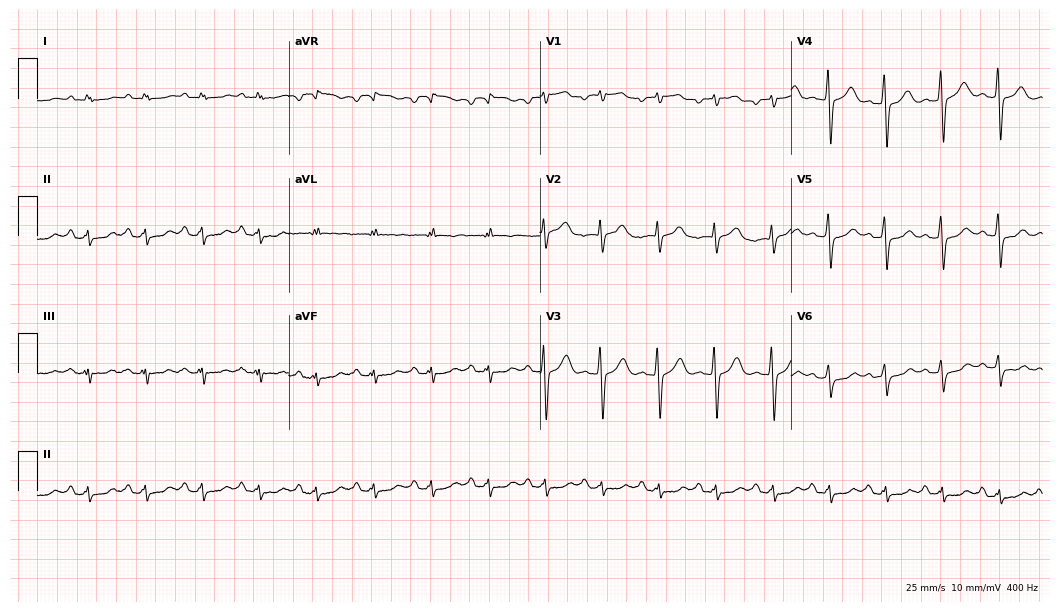
Electrocardiogram, a 50-year-old male. Of the six screened findings (first-degree AV block, right bundle branch block (RBBB), left bundle branch block (LBBB), sinus bradycardia, atrial fibrillation (AF), sinus tachycardia), none is recorded.